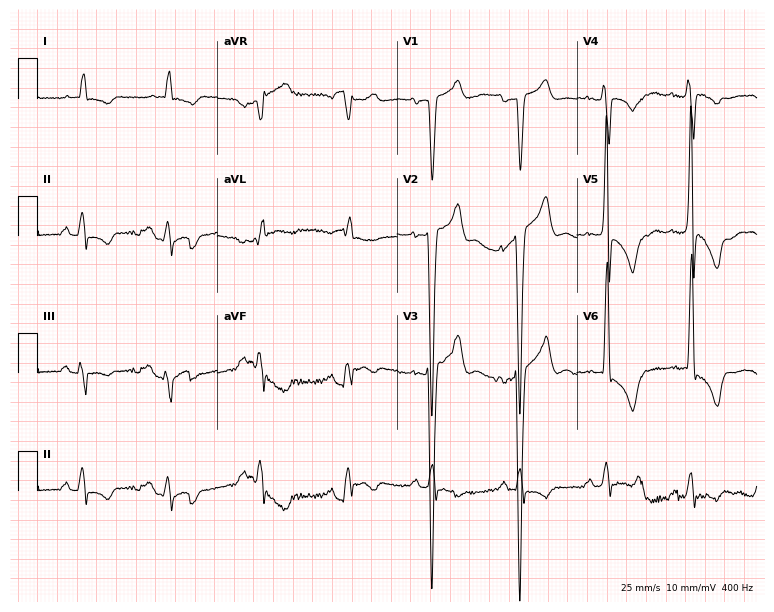
12-lead ECG from a male patient, 79 years old (7.3-second recording at 400 Hz). No first-degree AV block, right bundle branch block (RBBB), left bundle branch block (LBBB), sinus bradycardia, atrial fibrillation (AF) or sinus tachycardia recorded for this tracing.